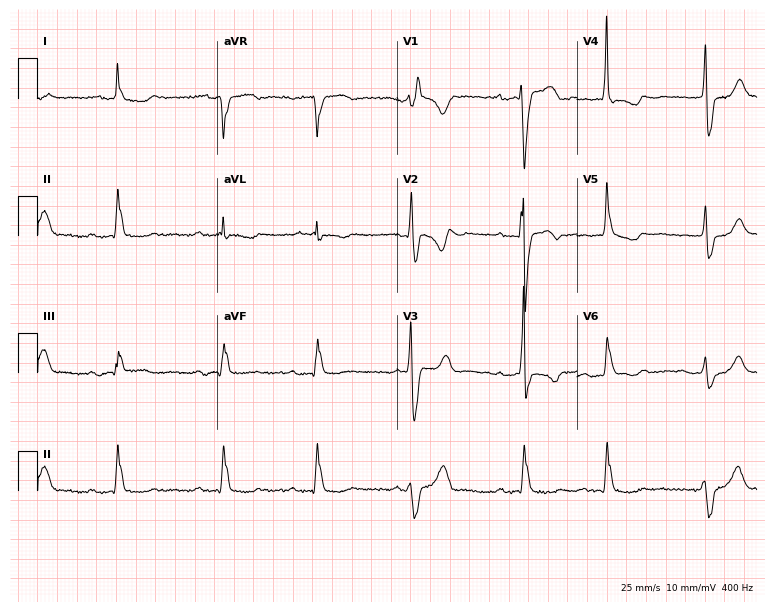
12-lead ECG from an 85-year-old male patient (7.3-second recording at 400 Hz). Shows first-degree AV block, left bundle branch block (LBBB).